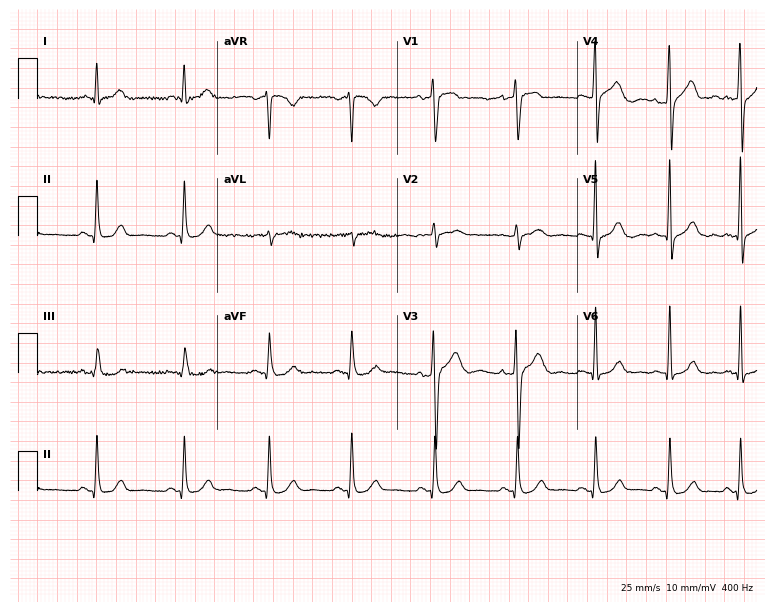
ECG — a male patient, 53 years old. Labelled as a normal ECG.